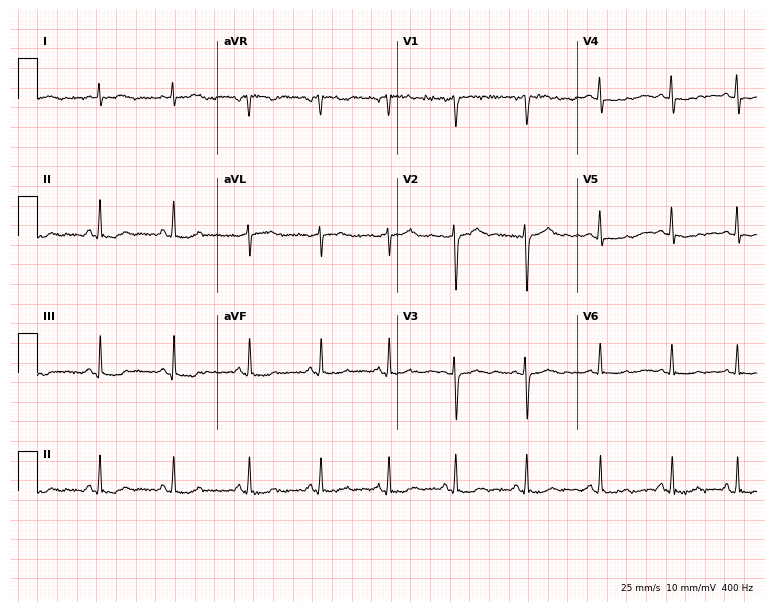
Resting 12-lead electrocardiogram (7.3-second recording at 400 Hz). Patient: a female, 51 years old. None of these six findings is recorded: first-degree AV block, right bundle branch block, left bundle branch block, sinus bradycardia, atrial fibrillation, sinus tachycardia. Only these six findings were labelled.